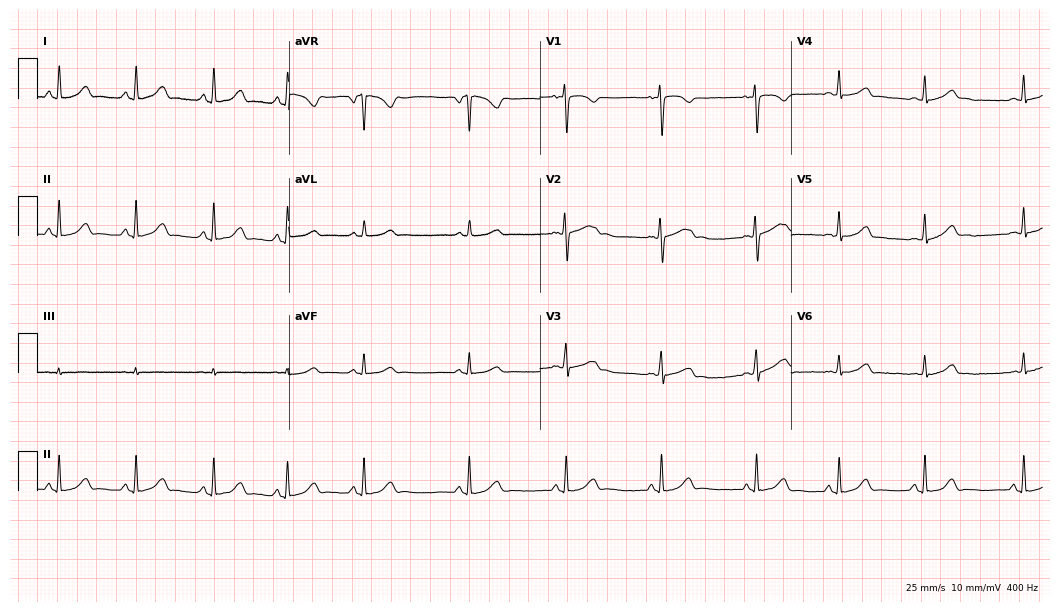
Electrocardiogram, a 22-year-old woman. Overall reading on record: normal ECG.